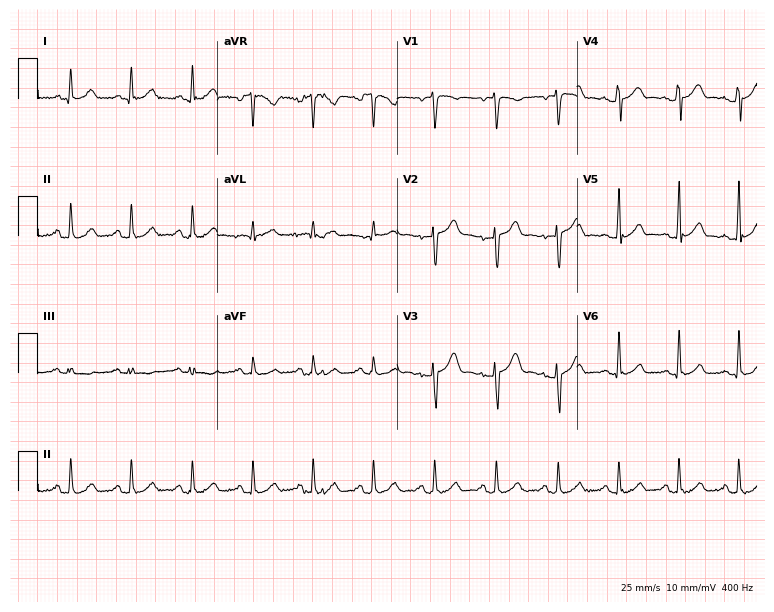
12-lead ECG from a 37-year-old male patient. Labelled as a normal ECG.